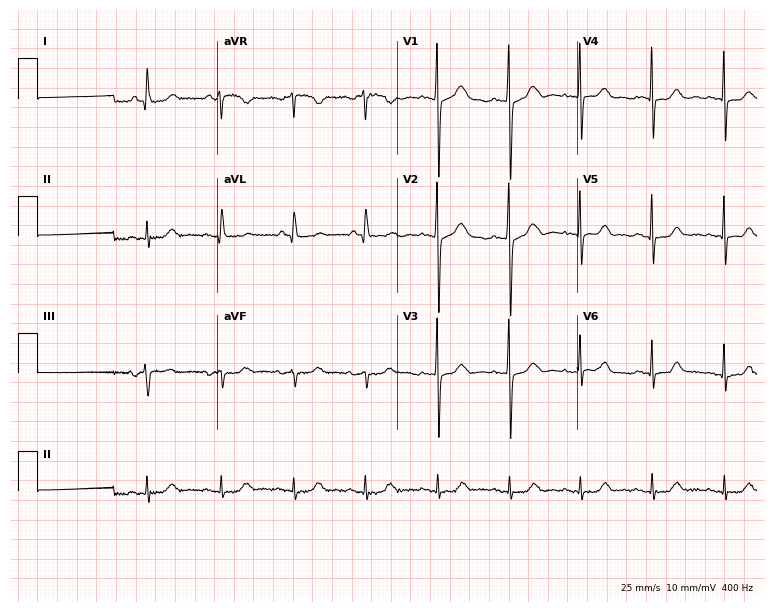
12-lead ECG (7.3-second recording at 400 Hz) from a 56-year-old female patient. Screened for six findings — first-degree AV block, right bundle branch block, left bundle branch block, sinus bradycardia, atrial fibrillation, sinus tachycardia — none is recorded.